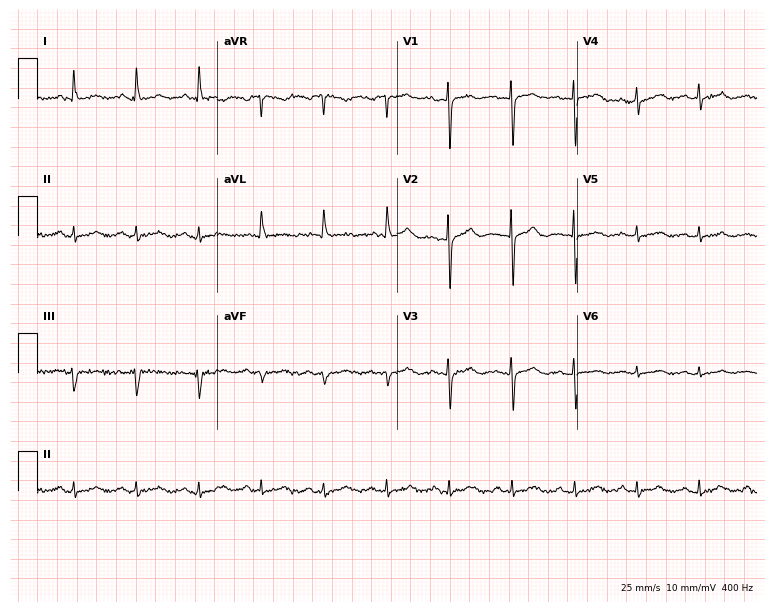
12-lead ECG from a woman, 82 years old. Labelled as a normal ECG.